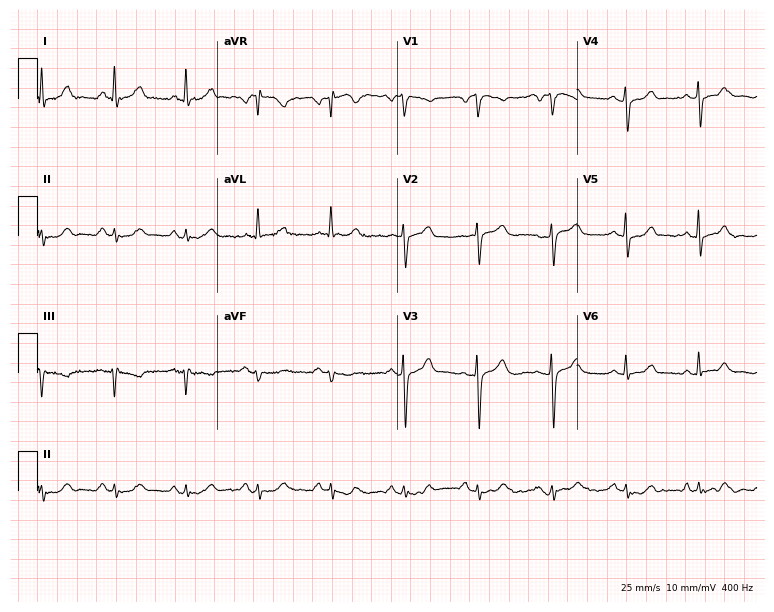
Electrocardiogram (7.3-second recording at 400 Hz), a female patient, 61 years old. Overall reading on record: normal ECG.